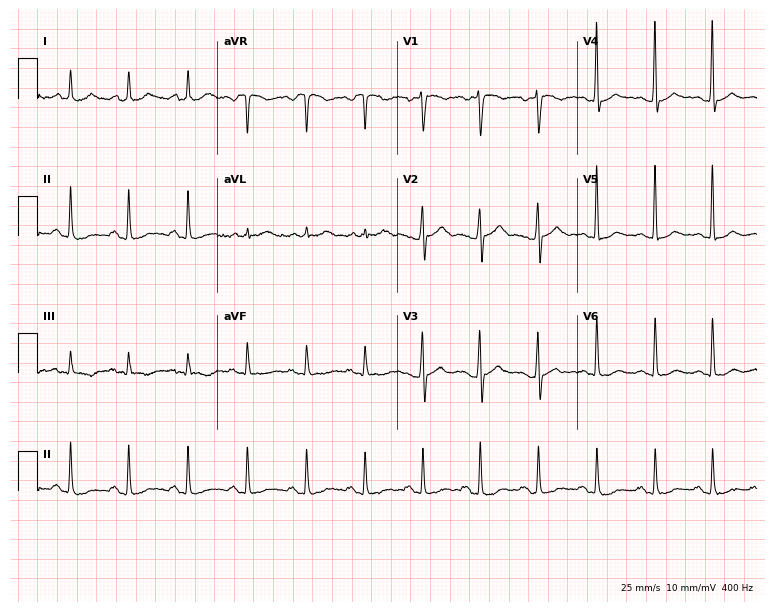
ECG — a woman, 34 years old. Screened for six findings — first-degree AV block, right bundle branch block, left bundle branch block, sinus bradycardia, atrial fibrillation, sinus tachycardia — none is recorded.